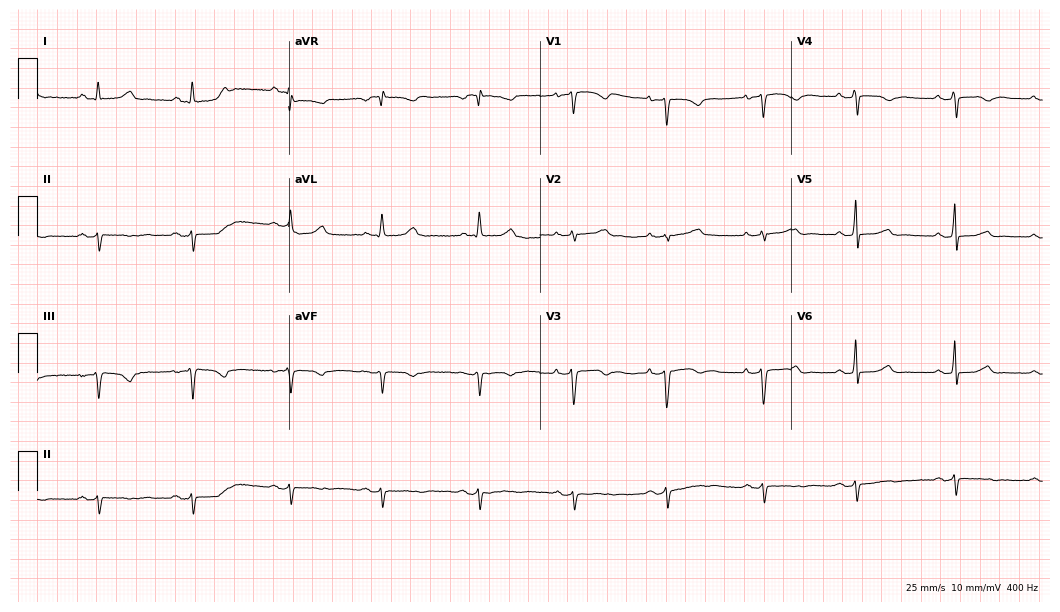
12-lead ECG (10.2-second recording at 400 Hz) from a female, 43 years old. Screened for six findings — first-degree AV block, right bundle branch block (RBBB), left bundle branch block (LBBB), sinus bradycardia, atrial fibrillation (AF), sinus tachycardia — none is recorded.